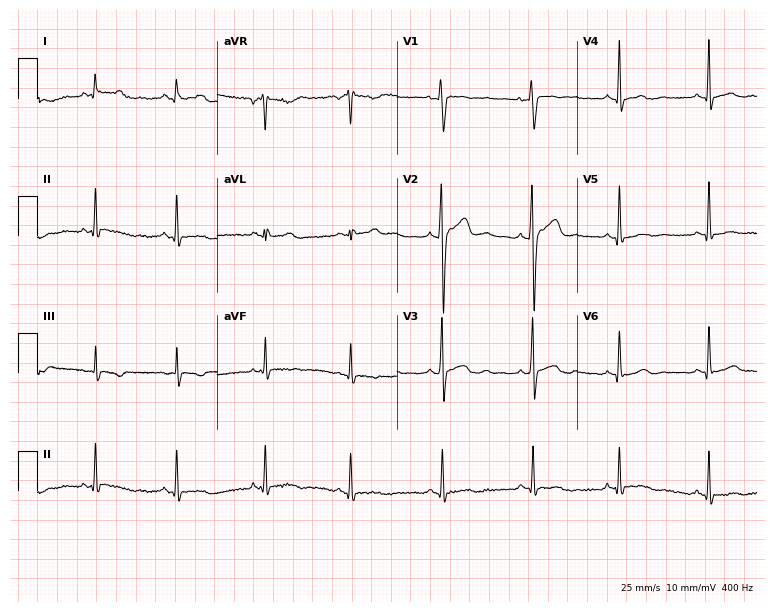
Resting 12-lead electrocardiogram (7.3-second recording at 400 Hz). Patient: a male, 23 years old. None of these six findings is recorded: first-degree AV block, right bundle branch block, left bundle branch block, sinus bradycardia, atrial fibrillation, sinus tachycardia. Other findings, if any, are not listed.